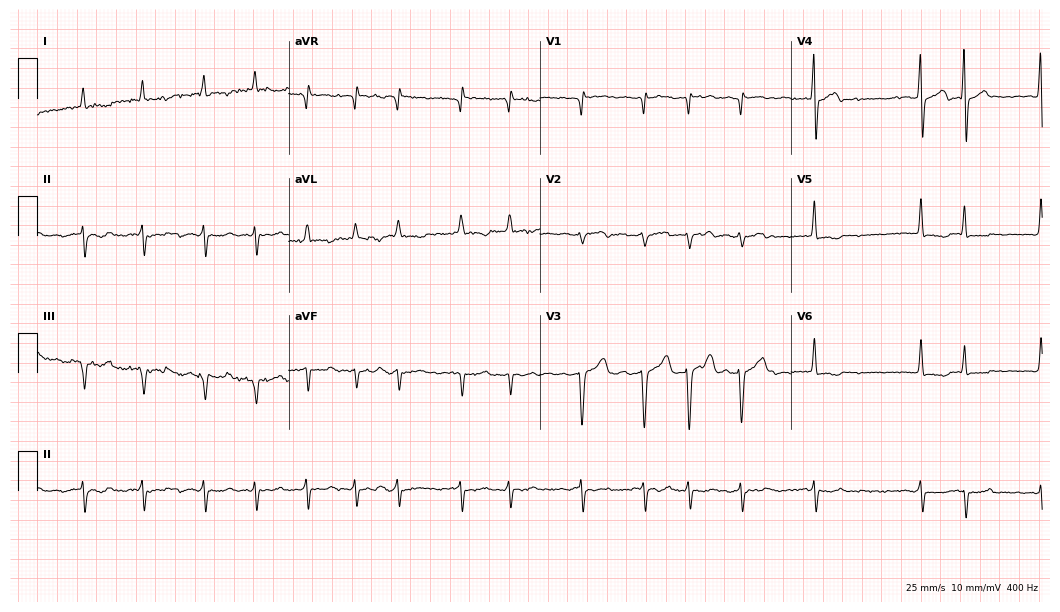
Standard 12-lead ECG recorded from a male patient, 82 years old (10.2-second recording at 400 Hz). The tracing shows atrial fibrillation.